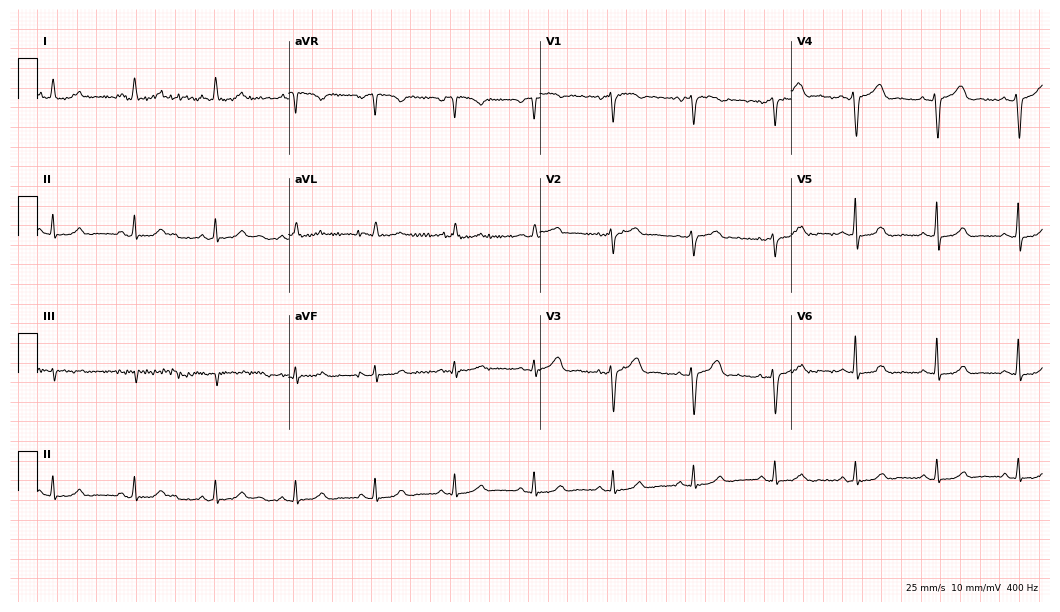
12-lead ECG from a 41-year-old female patient (10.2-second recording at 400 Hz). No first-degree AV block, right bundle branch block (RBBB), left bundle branch block (LBBB), sinus bradycardia, atrial fibrillation (AF) or sinus tachycardia recorded for this tracing.